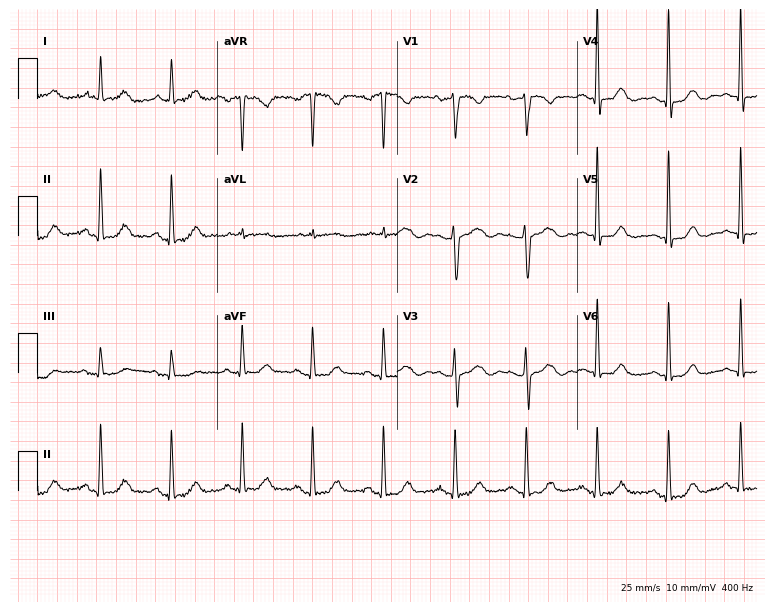
ECG — a 56-year-old woman. Labelled as a normal ECG.